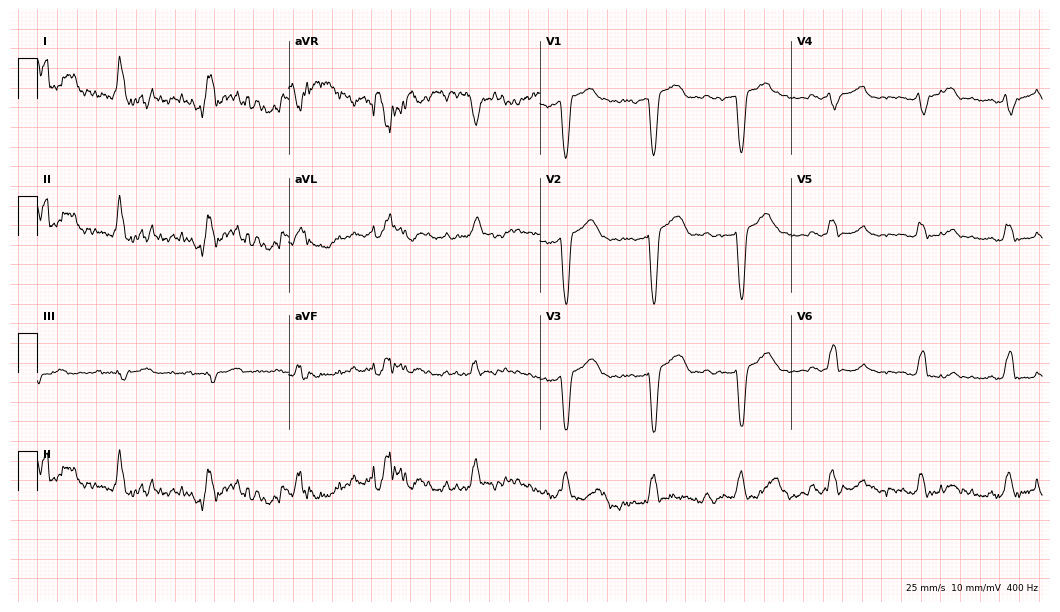
Standard 12-lead ECG recorded from an 81-year-old female (10.2-second recording at 400 Hz). None of these six findings is recorded: first-degree AV block, right bundle branch block (RBBB), left bundle branch block (LBBB), sinus bradycardia, atrial fibrillation (AF), sinus tachycardia. Other findings, if any, are not listed.